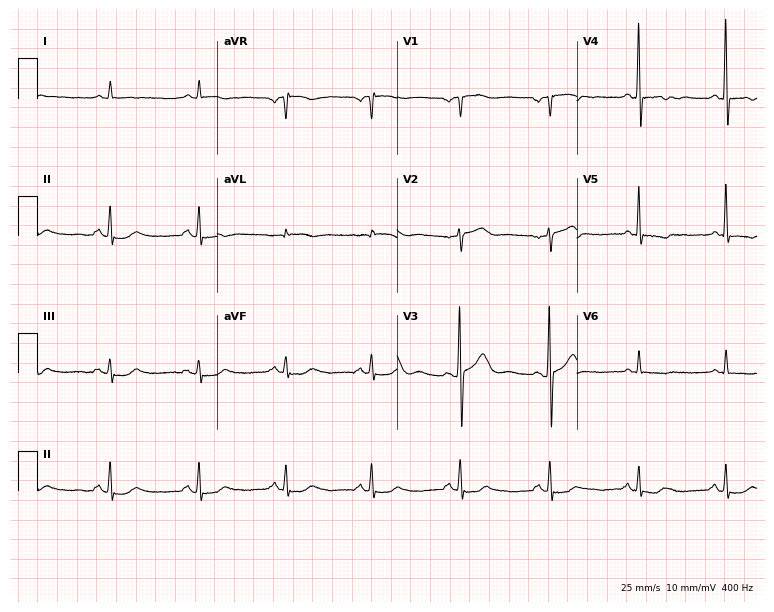
Electrocardiogram, a 56-year-old man. Of the six screened findings (first-degree AV block, right bundle branch block (RBBB), left bundle branch block (LBBB), sinus bradycardia, atrial fibrillation (AF), sinus tachycardia), none is recorded. Only these six findings were labelled.